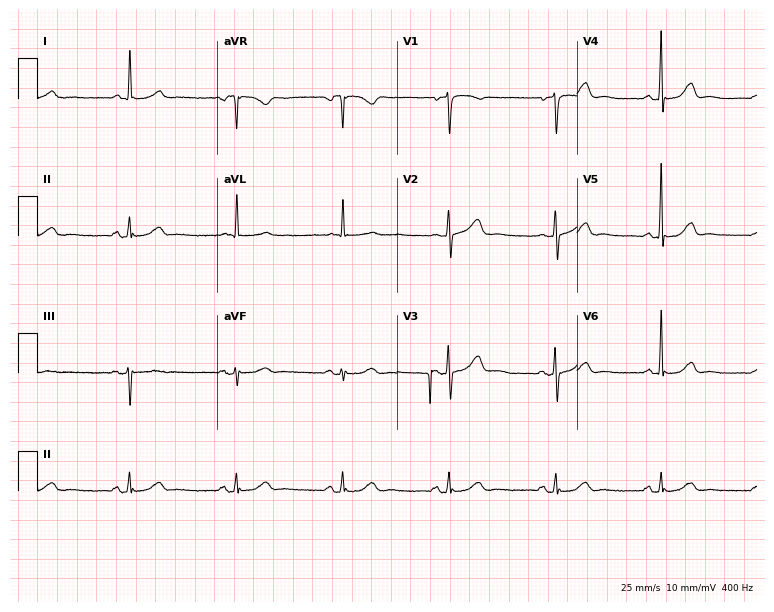
Standard 12-lead ECG recorded from a 66-year-old female patient. Read as a normal ECG.